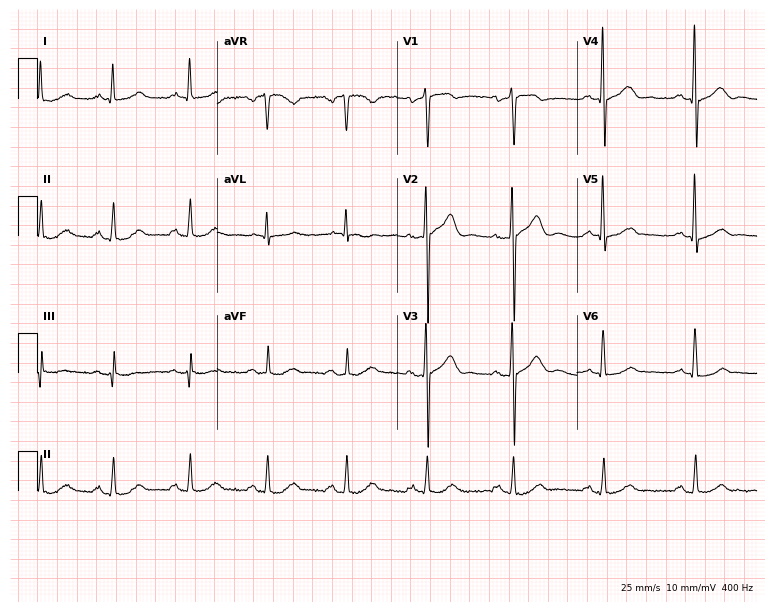
Standard 12-lead ECG recorded from a 61-year-old male. Read as a normal ECG.